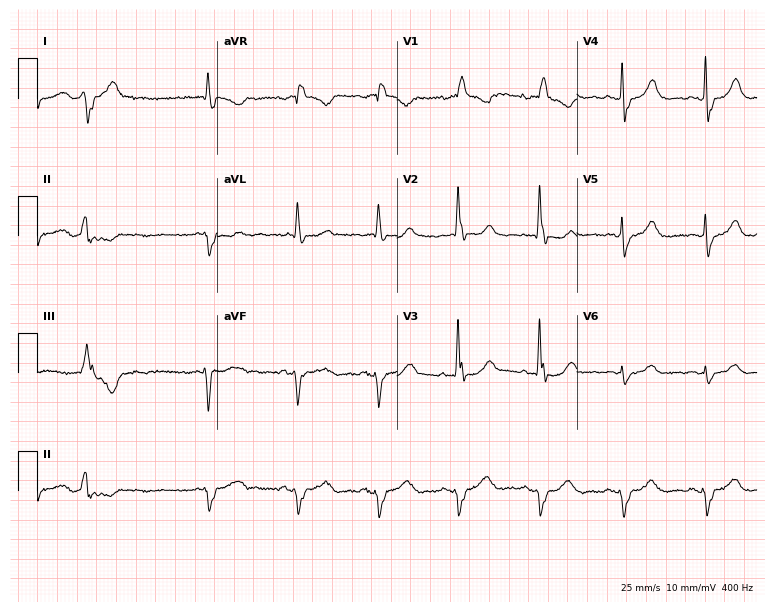
12-lead ECG from a male patient, 74 years old. Shows right bundle branch block.